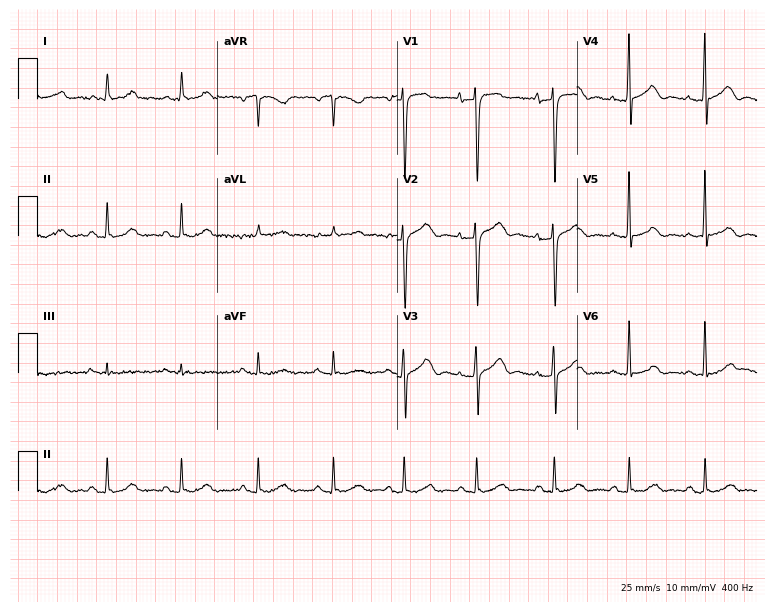
Standard 12-lead ECG recorded from a female patient, 81 years old (7.3-second recording at 400 Hz). None of these six findings is recorded: first-degree AV block, right bundle branch block (RBBB), left bundle branch block (LBBB), sinus bradycardia, atrial fibrillation (AF), sinus tachycardia.